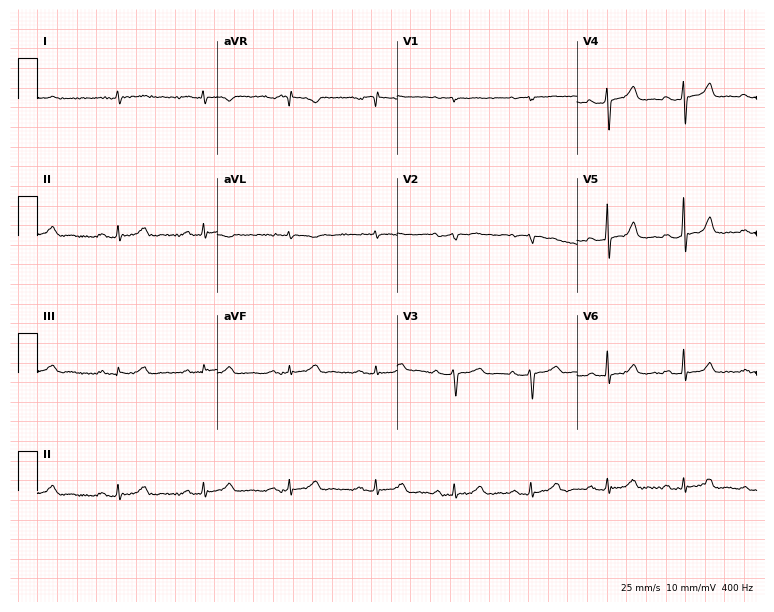
ECG (7.3-second recording at 400 Hz) — a male, 52 years old. Screened for six findings — first-degree AV block, right bundle branch block, left bundle branch block, sinus bradycardia, atrial fibrillation, sinus tachycardia — none is recorded.